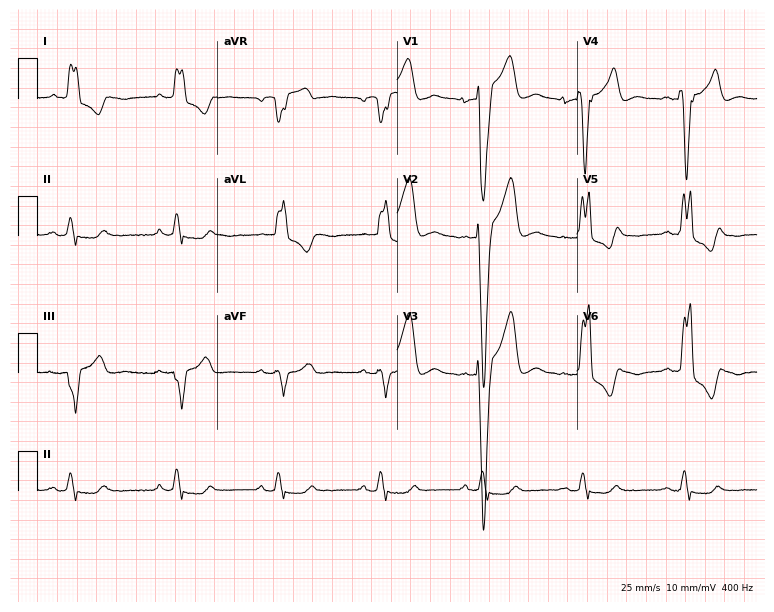
ECG (7.3-second recording at 400 Hz) — a man, 81 years old. Findings include left bundle branch block (LBBB).